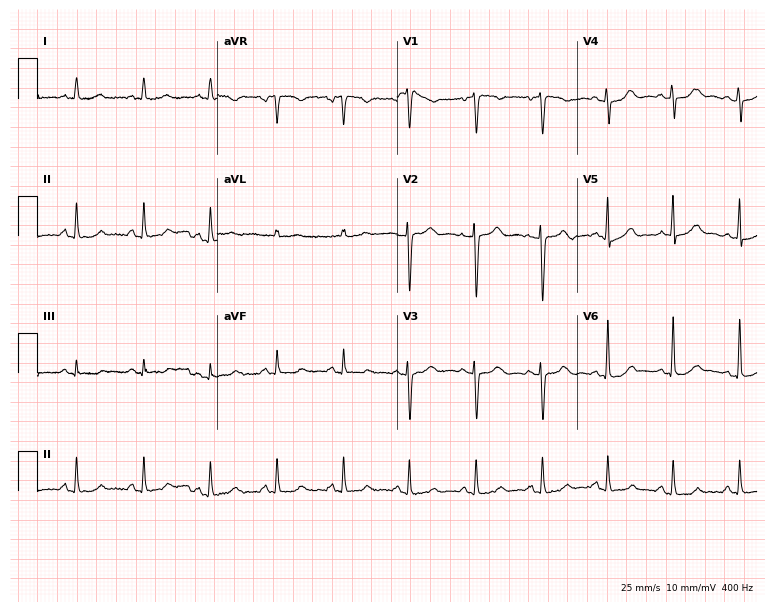
ECG (7.3-second recording at 400 Hz) — a female patient, 31 years old. Labelled as a normal ECG.